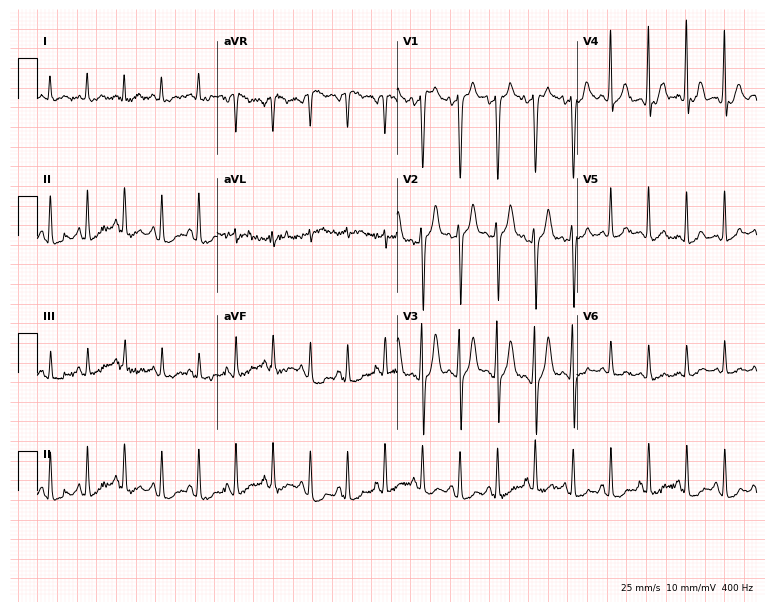
Resting 12-lead electrocardiogram. Patient: a 26-year-old male. None of these six findings is recorded: first-degree AV block, right bundle branch block, left bundle branch block, sinus bradycardia, atrial fibrillation, sinus tachycardia. Other findings, if any, are not listed.